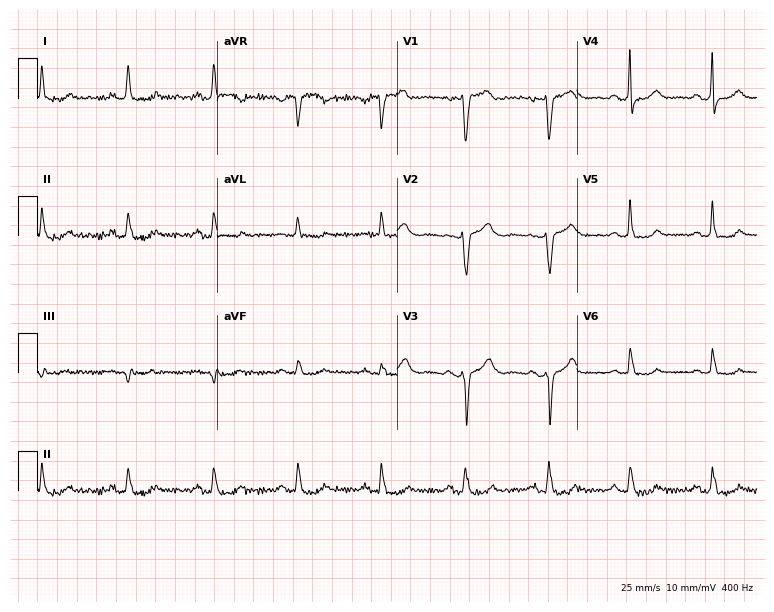
Standard 12-lead ECG recorded from a 68-year-old female patient. None of these six findings is recorded: first-degree AV block, right bundle branch block (RBBB), left bundle branch block (LBBB), sinus bradycardia, atrial fibrillation (AF), sinus tachycardia. Findings outside these six are not listed.